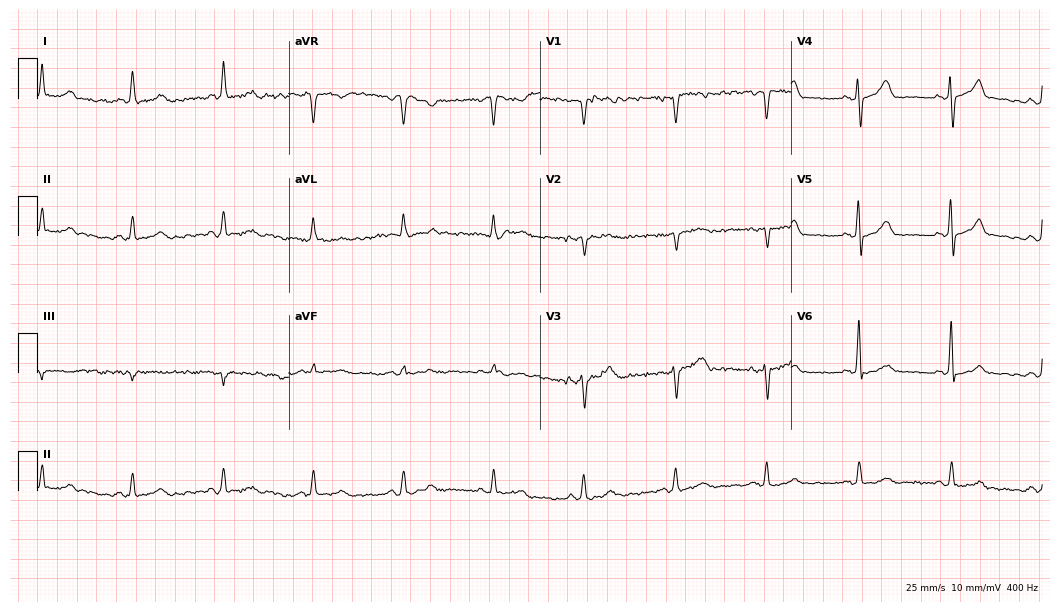
Resting 12-lead electrocardiogram (10.2-second recording at 400 Hz). Patient: a 52-year-old female. Read as a normal ECG.